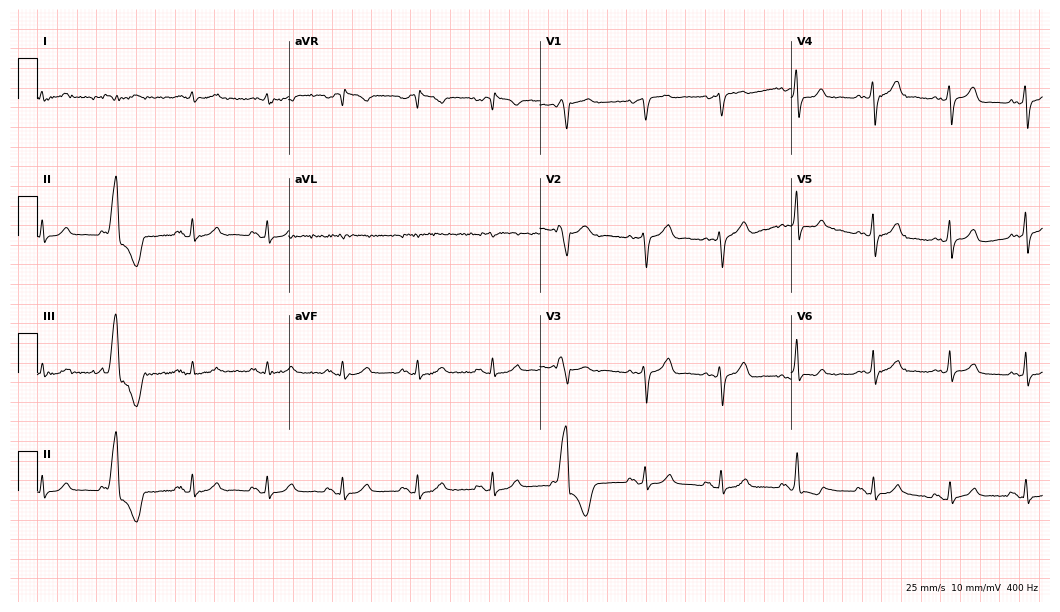
Electrocardiogram (10.2-second recording at 400 Hz), a 79-year-old male patient. Of the six screened findings (first-degree AV block, right bundle branch block, left bundle branch block, sinus bradycardia, atrial fibrillation, sinus tachycardia), none is recorded. Other findings, if any, are not listed.